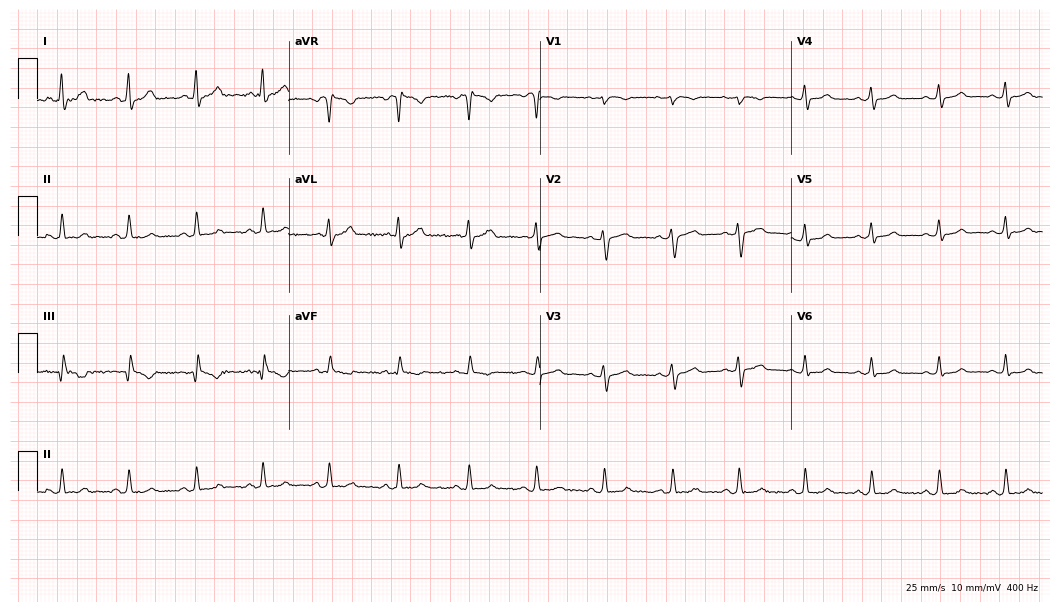
12-lead ECG from a 32-year-old female patient. Screened for six findings — first-degree AV block, right bundle branch block, left bundle branch block, sinus bradycardia, atrial fibrillation, sinus tachycardia — none is recorded.